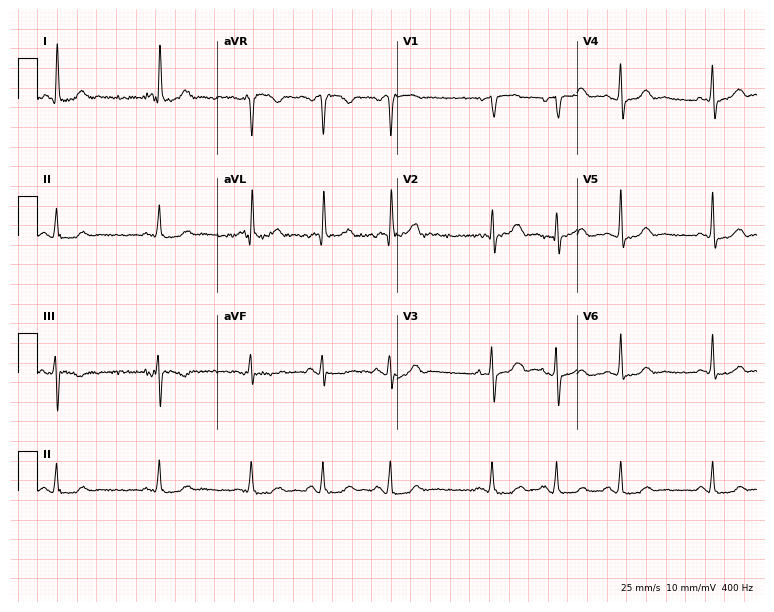
Resting 12-lead electrocardiogram (7.3-second recording at 400 Hz). Patient: a female, 75 years old. Read as a normal ECG.